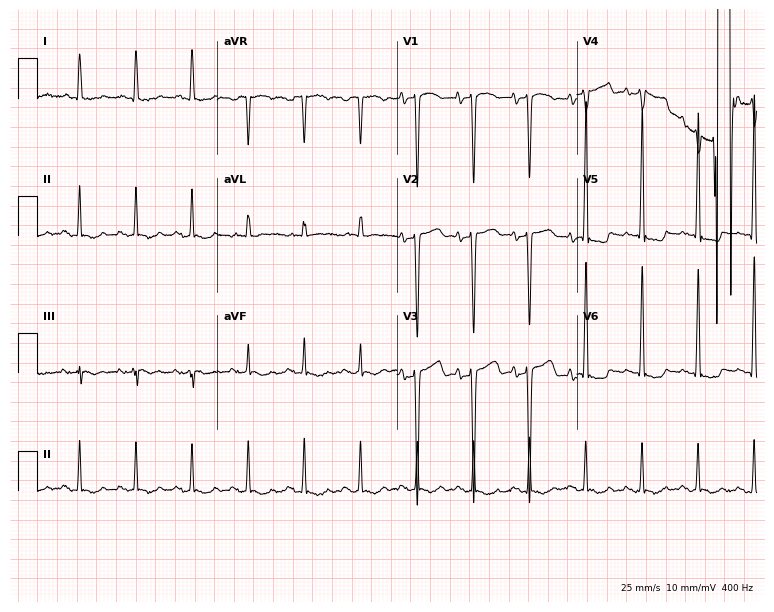
Electrocardiogram (7.3-second recording at 400 Hz), a female patient, 70 years old. Interpretation includes sinus tachycardia (a sinus rate of 100 beats per minute or more).